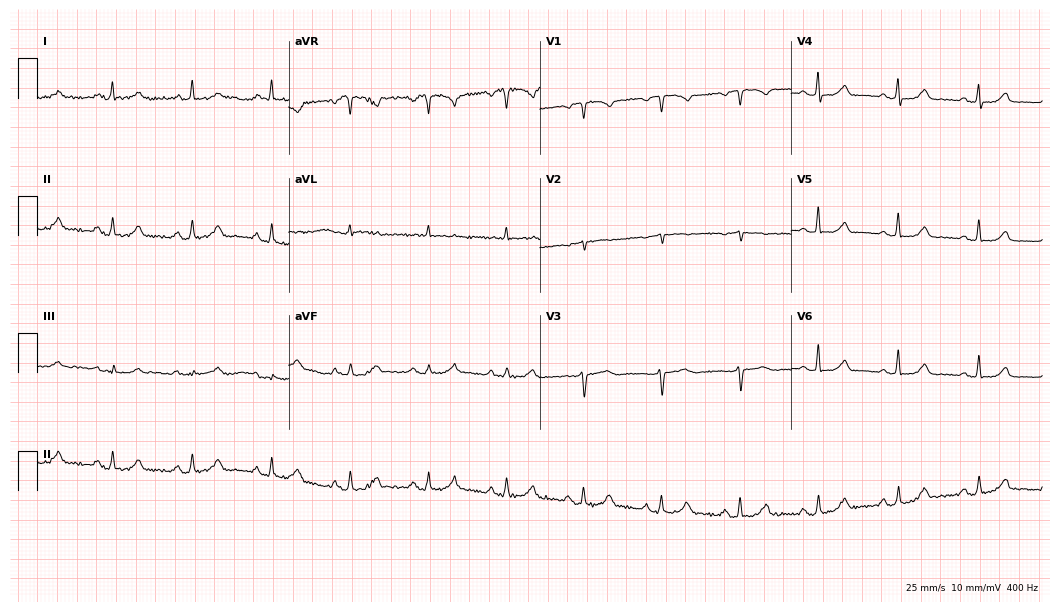
ECG (10.2-second recording at 400 Hz) — a woman, 73 years old. Screened for six findings — first-degree AV block, right bundle branch block, left bundle branch block, sinus bradycardia, atrial fibrillation, sinus tachycardia — none is recorded. Findings outside these six are not listed.